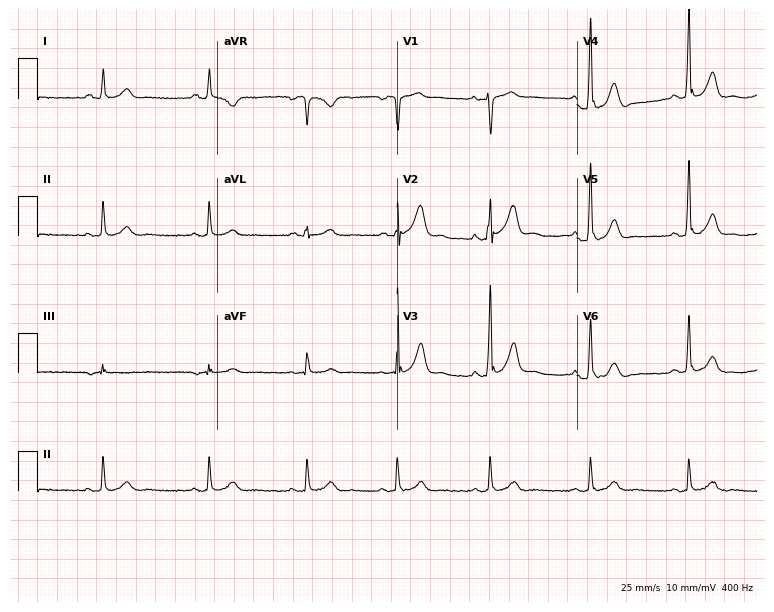
12-lead ECG from a man, 34 years old. Screened for six findings — first-degree AV block, right bundle branch block, left bundle branch block, sinus bradycardia, atrial fibrillation, sinus tachycardia — none is recorded. Only these six findings were labelled.